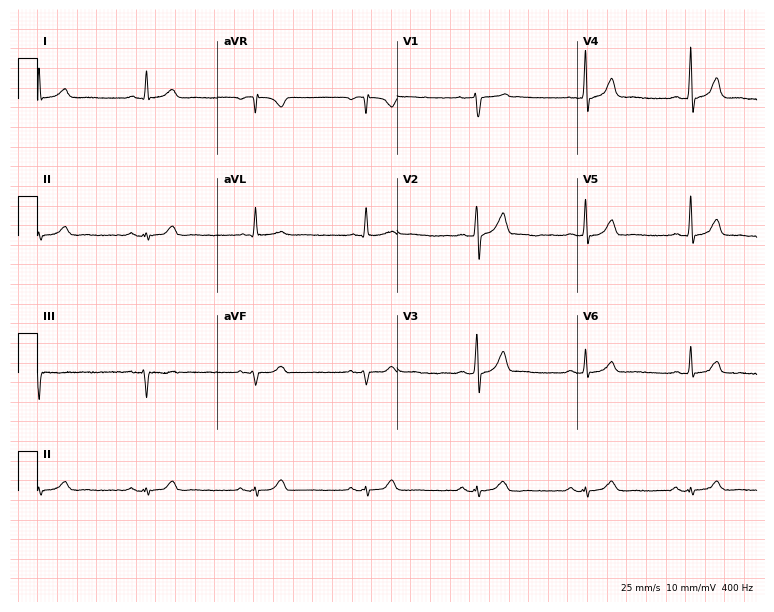
12-lead ECG from a 61-year-old male. Labelled as a normal ECG.